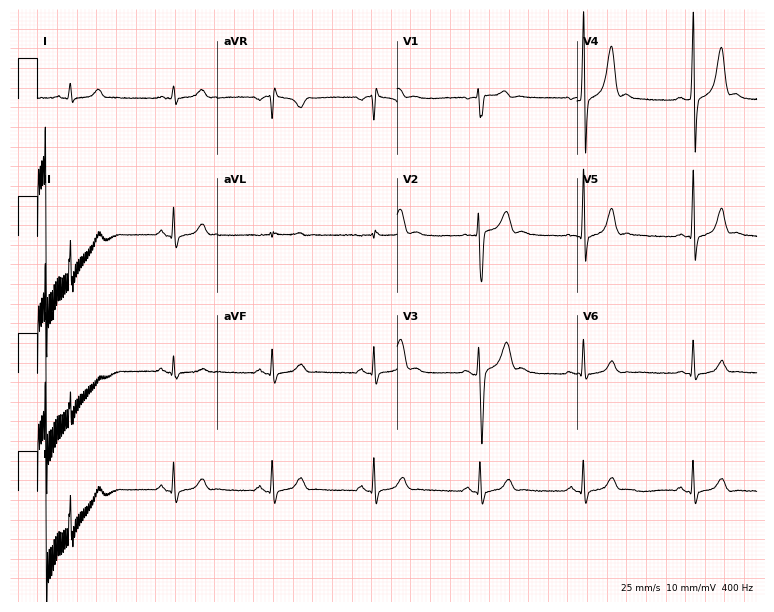
Electrocardiogram, a man, 33 years old. Overall reading on record: normal ECG.